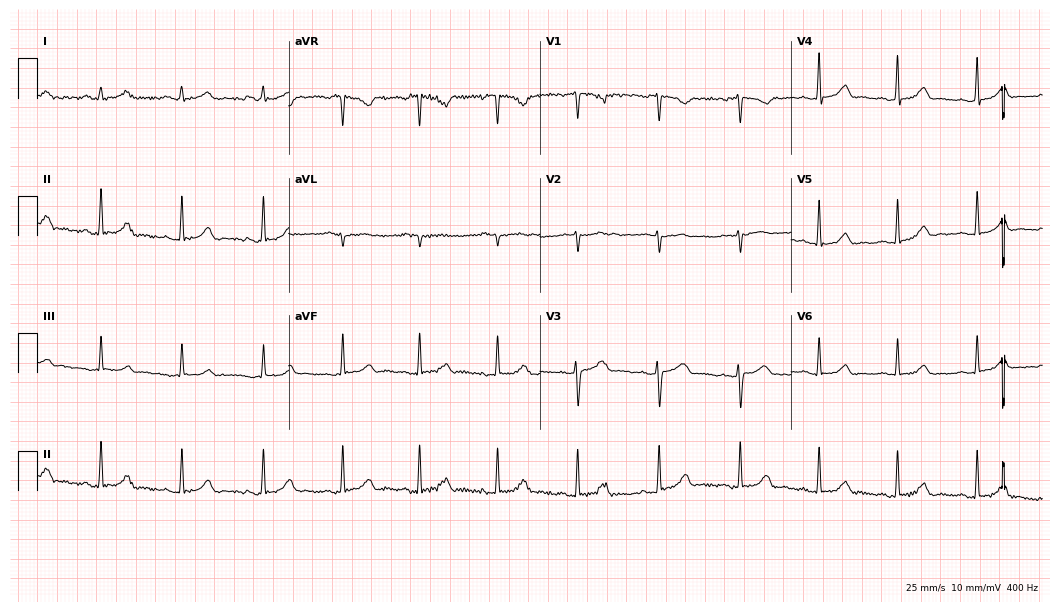
12-lead ECG from a 40-year-old female patient. Labelled as a normal ECG.